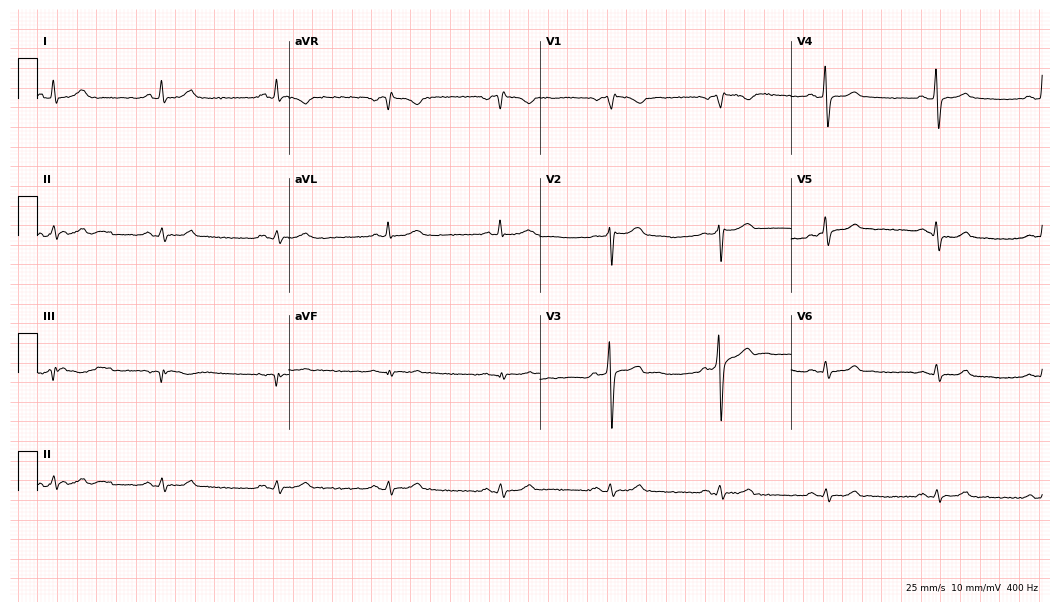
Resting 12-lead electrocardiogram. Patient: a man, 57 years old. None of these six findings is recorded: first-degree AV block, right bundle branch block, left bundle branch block, sinus bradycardia, atrial fibrillation, sinus tachycardia. Findings outside these six are not listed.